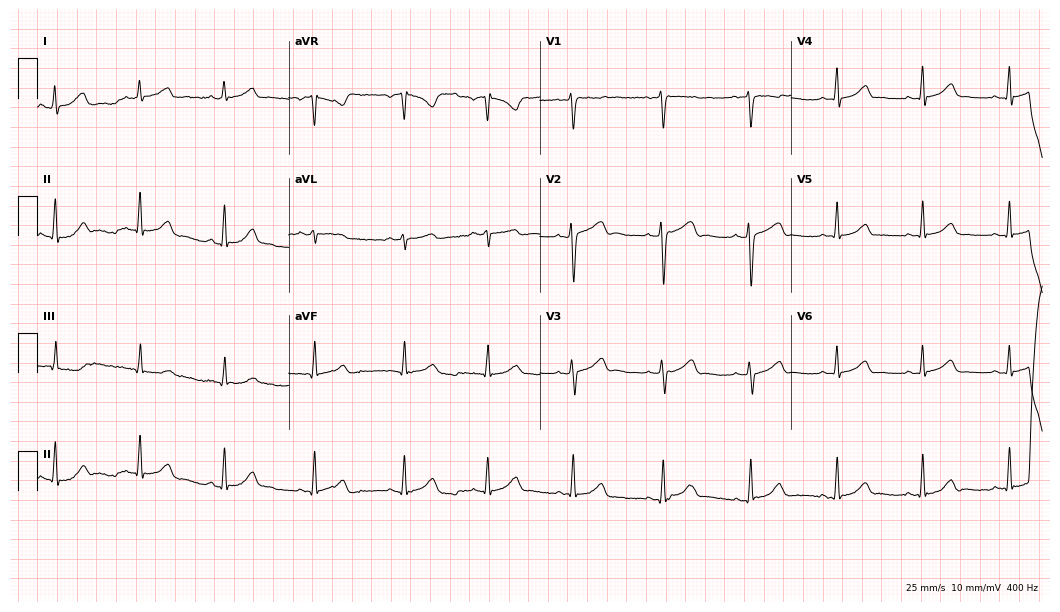
Standard 12-lead ECG recorded from a 21-year-old female. Read as a normal ECG.